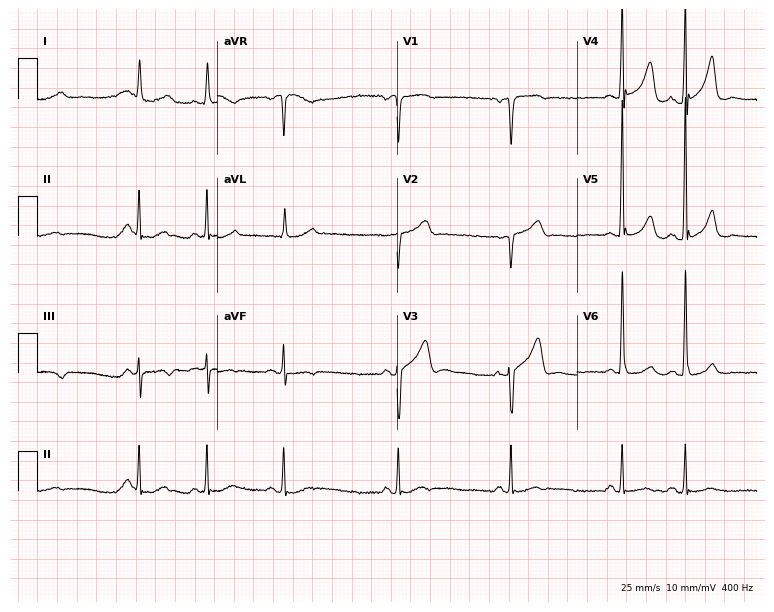
ECG — a man, 67 years old. Labelled as a normal ECG.